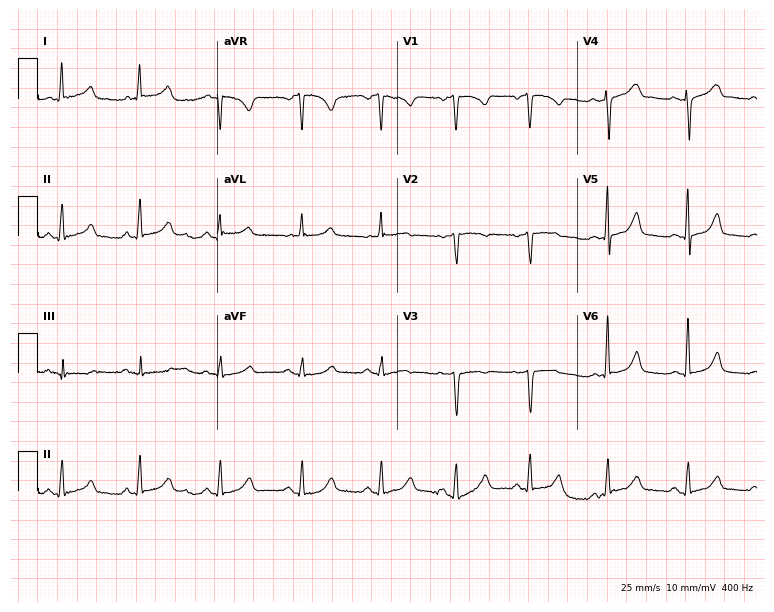
12-lead ECG (7.3-second recording at 400 Hz) from a female patient, 39 years old. Labelled as a normal ECG.